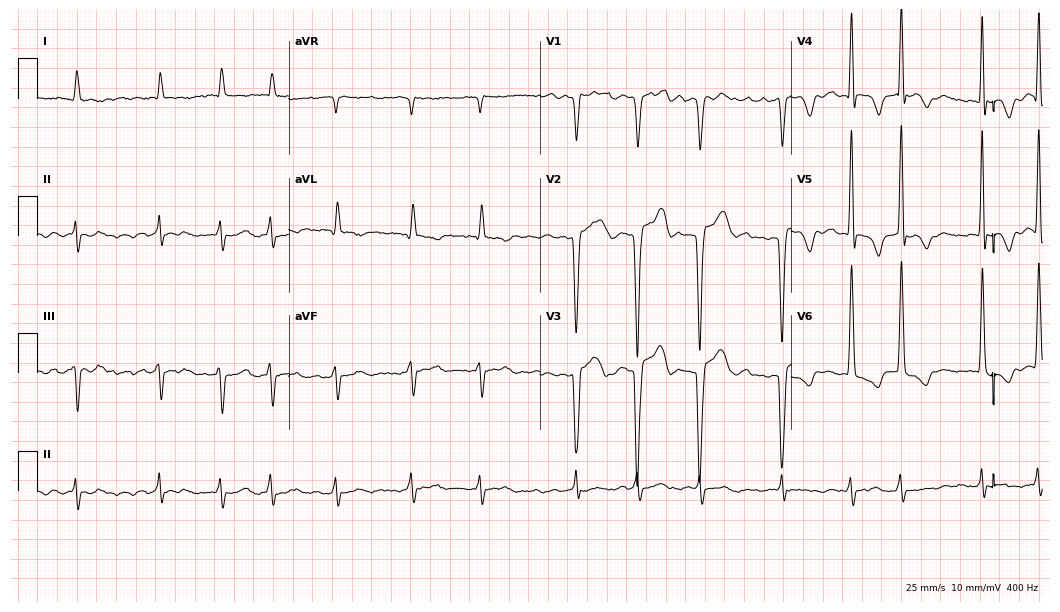
Standard 12-lead ECG recorded from an 85-year-old male. The tracing shows atrial fibrillation.